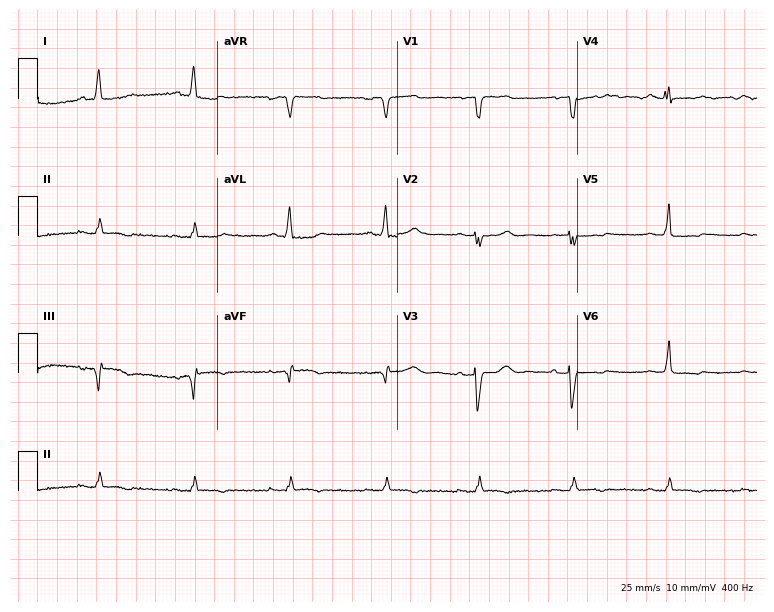
Standard 12-lead ECG recorded from a female patient, 76 years old. None of these six findings is recorded: first-degree AV block, right bundle branch block, left bundle branch block, sinus bradycardia, atrial fibrillation, sinus tachycardia.